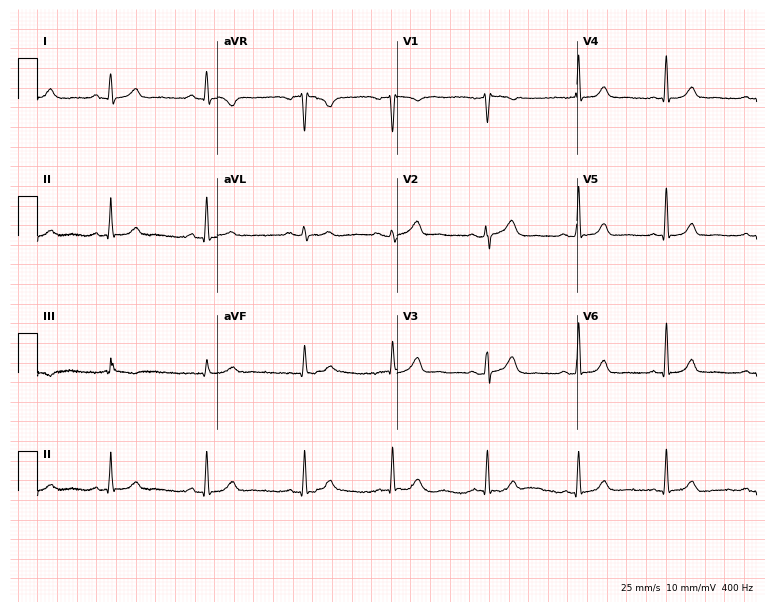
Resting 12-lead electrocardiogram. Patient: a woman, 48 years old. None of these six findings is recorded: first-degree AV block, right bundle branch block (RBBB), left bundle branch block (LBBB), sinus bradycardia, atrial fibrillation (AF), sinus tachycardia. Findings outside these six are not listed.